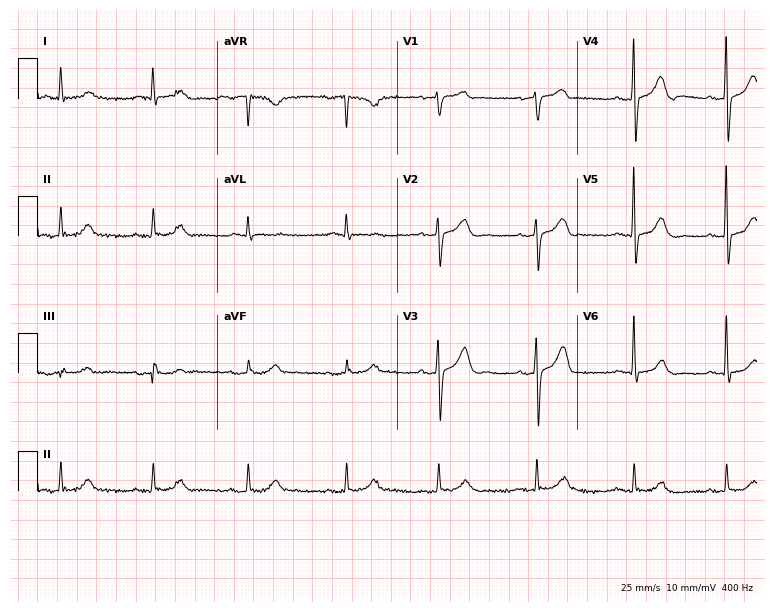
Standard 12-lead ECG recorded from a woman, 74 years old (7.3-second recording at 400 Hz). Read as a normal ECG.